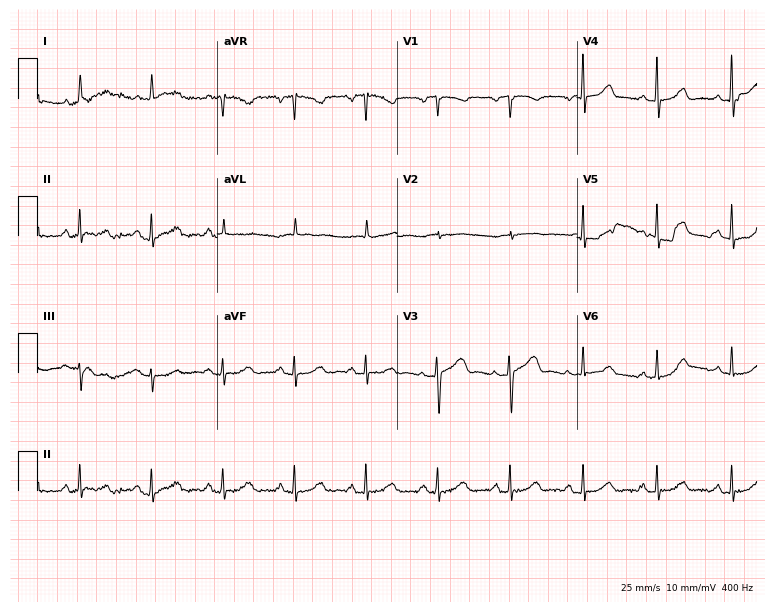
12-lead ECG from a woman, 72 years old. No first-degree AV block, right bundle branch block, left bundle branch block, sinus bradycardia, atrial fibrillation or sinus tachycardia recorded for this tracing. Other findings, if any, are not listed.